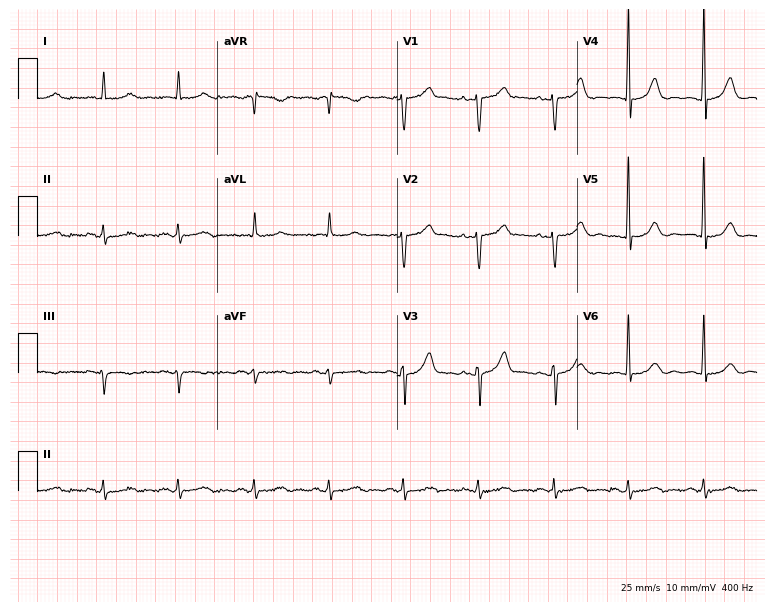
ECG (7.3-second recording at 400 Hz) — a male patient, 83 years old. Labelled as a normal ECG.